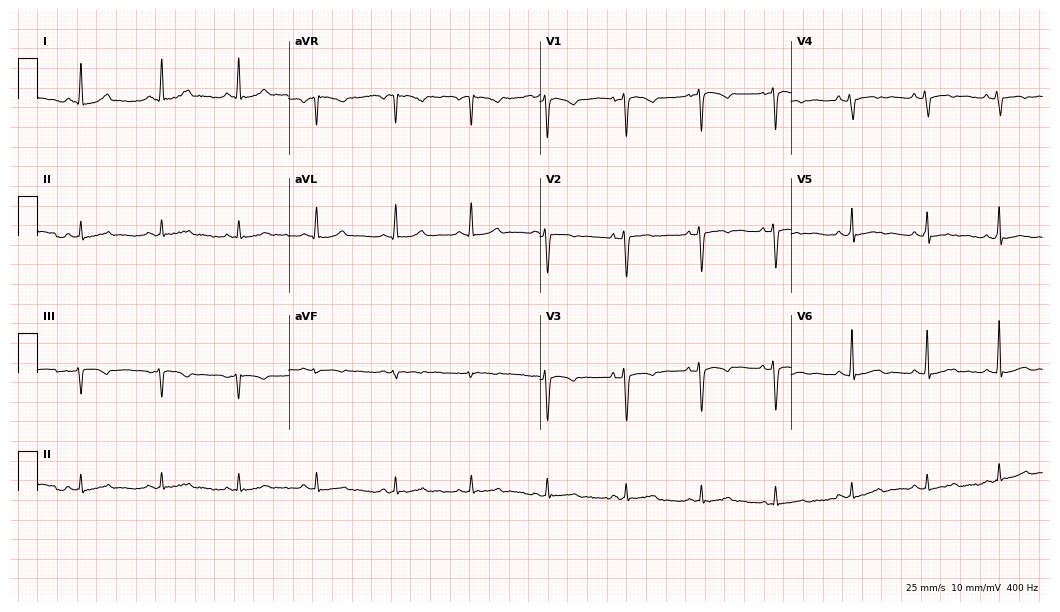
Standard 12-lead ECG recorded from a female, 59 years old (10.2-second recording at 400 Hz). None of these six findings is recorded: first-degree AV block, right bundle branch block, left bundle branch block, sinus bradycardia, atrial fibrillation, sinus tachycardia. Findings outside these six are not listed.